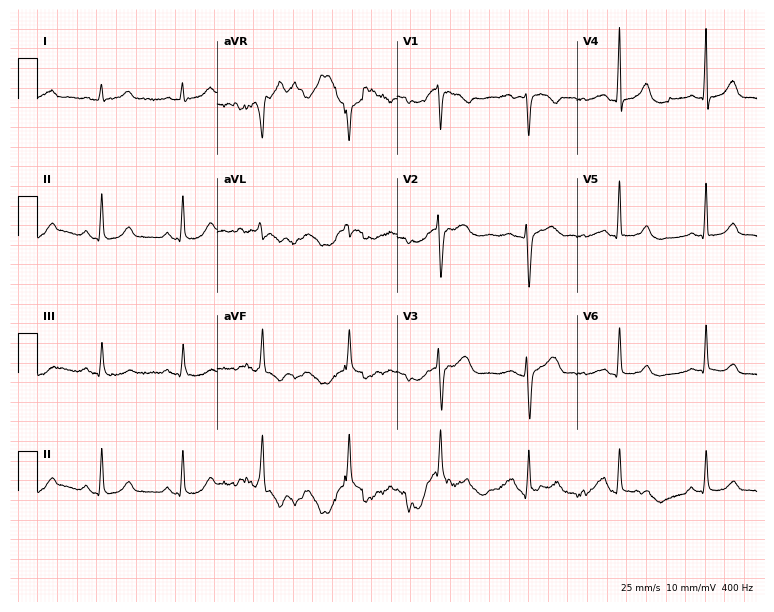
ECG — a 37-year-old female patient. Screened for six findings — first-degree AV block, right bundle branch block, left bundle branch block, sinus bradycardia, atrial fibrillation, sinus tachycardia — none is recorded. Other findings, if any, are not listed.